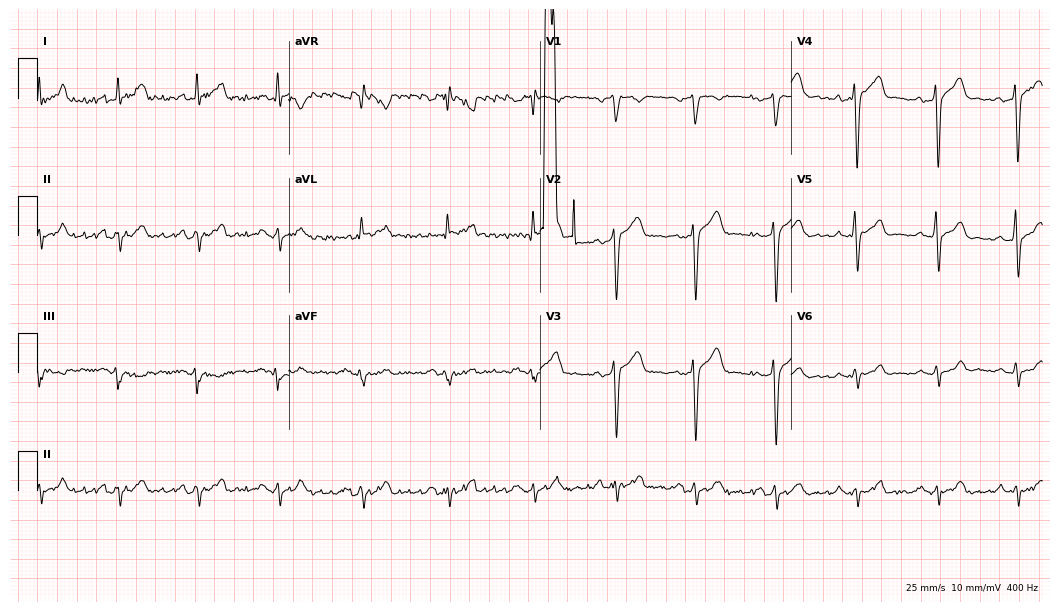
Standard 12-lead ECG recorded from a 50-year-old male patient (10.2-second recording at 400 Hz). None of these six findings is recorded: first-degree AV block, right bundle branch block (RBBB), left bundle branch block (LBBB), sinus bradycardia, atrial fibrillation (AF), sinus tachycardia.